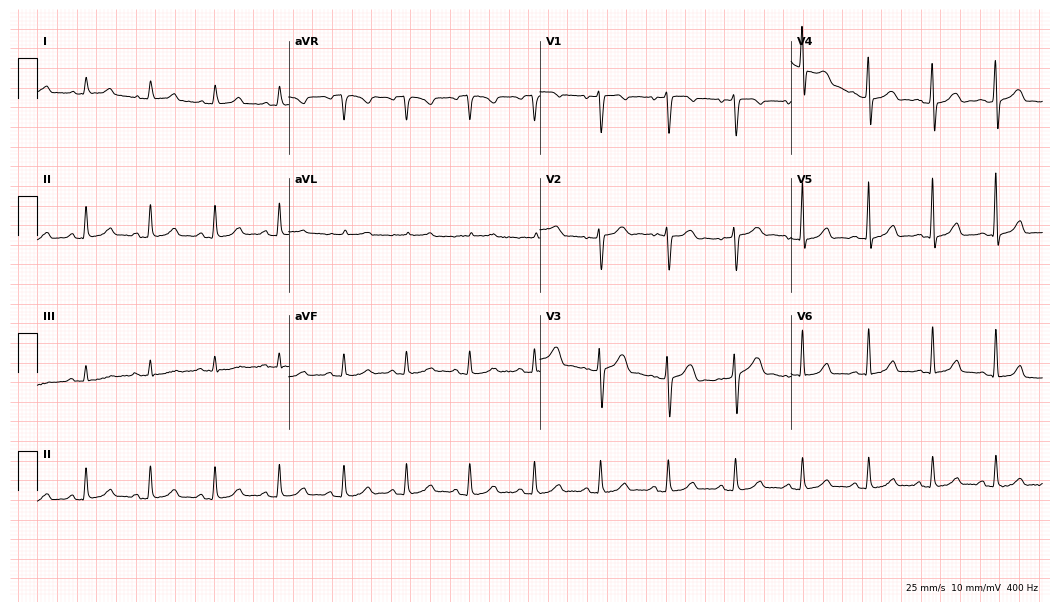
ECG (10.2-second recording at 400 Hz) — a woman, 37 years old. Labelled as a normal ECG.